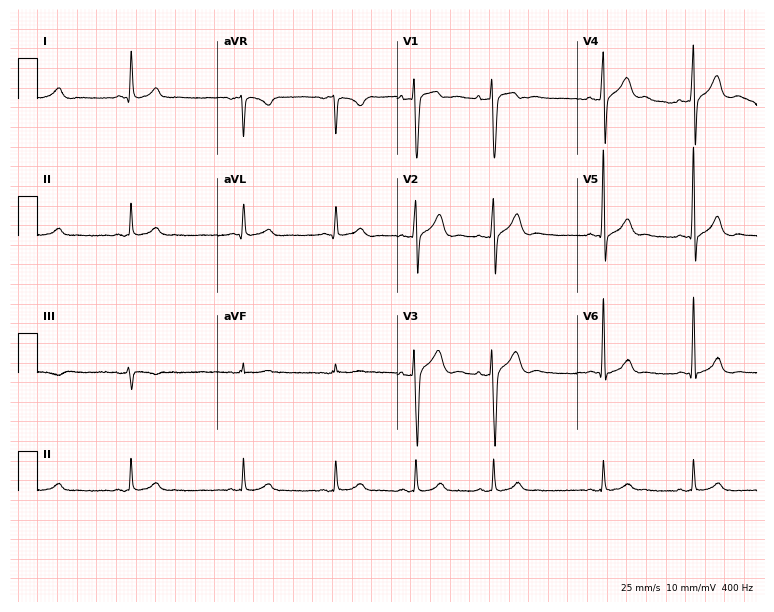
Standard 12-lead ECG recorded from a 25-year-old male patient. Read as a normal ECG.